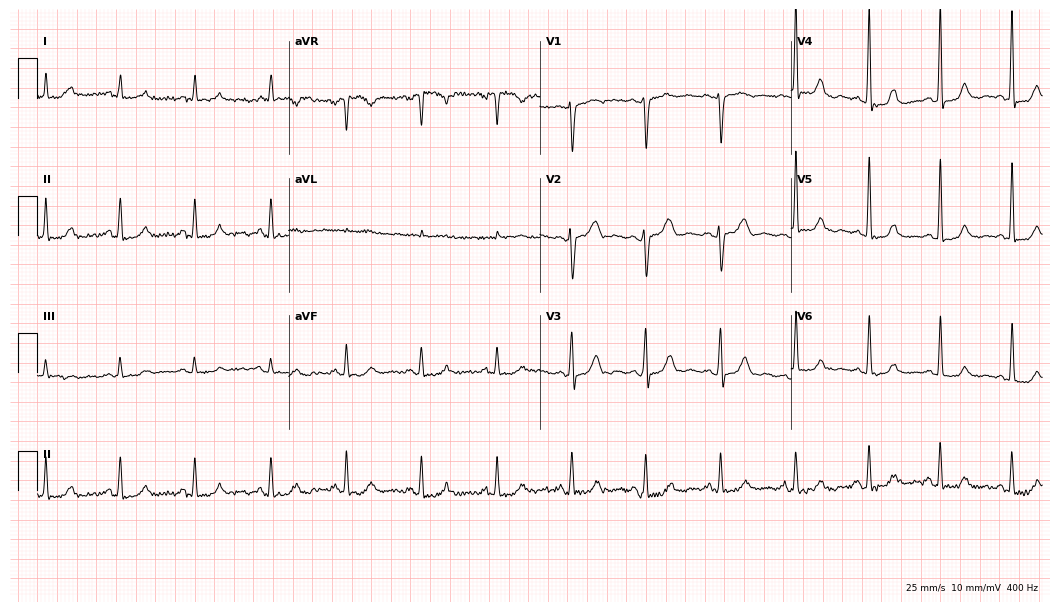
Electrocardiogram (10.2-second recording at 400 Hz), a female patient, 61 years old. Of the six screened findings (first-degree AV block, right bundle branch block (RBBB), left bundle branch block (LBBB), sinus bradycardia, atrial fibrillation (AF), sinus tachycardia), none is recorded.